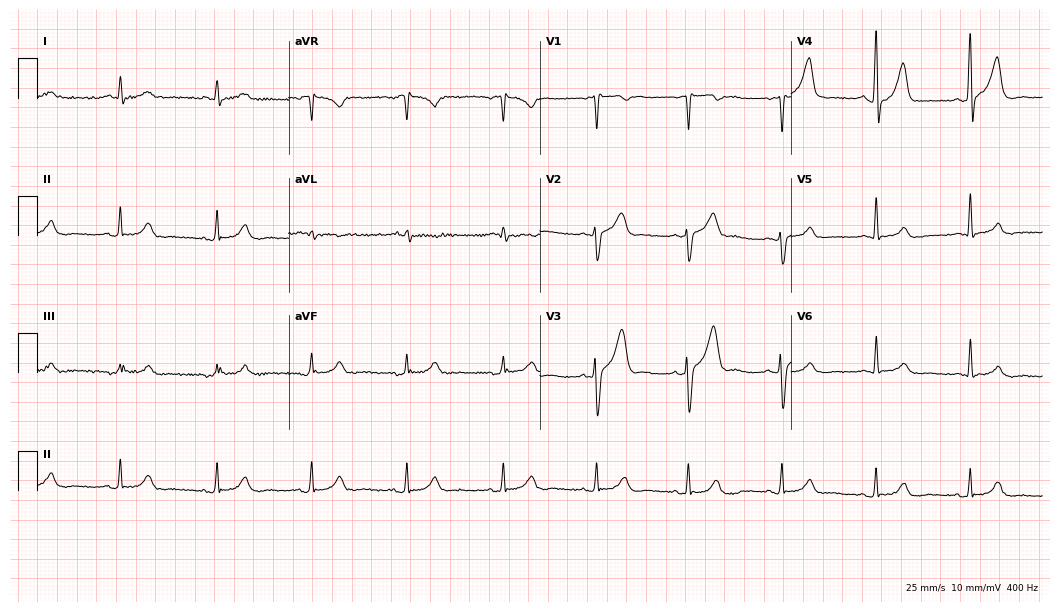
ECG — a 47-year-old male. Labelled as a normal ECG.